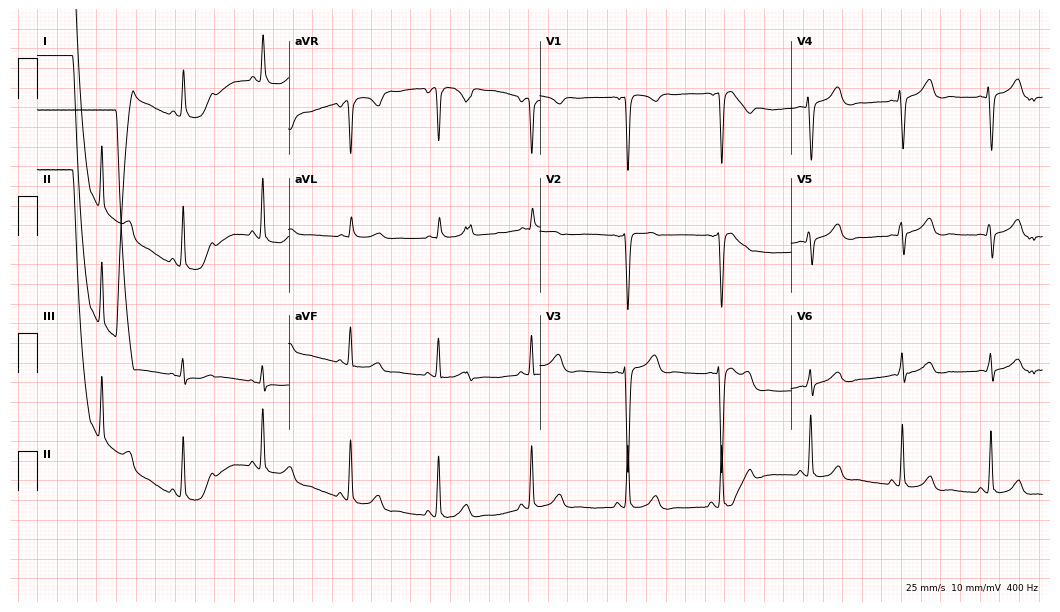
Resting 12-lead electrocardiogram. Patient: a man, 58 years old. None of these six findings is recorded: first-degree AV block, right bundle branch block, left bundle branch block, sinus bradycardia, atrial fibrillation, sinus tachycardia. Findings outside these six are not listed.